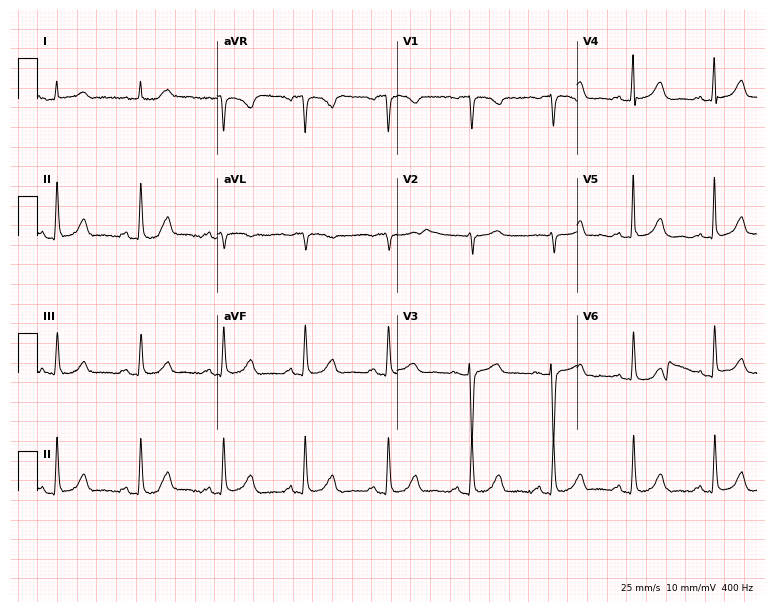
Electrocardiogram (7.3-second recording at 400 Hz), a female, 75 years old. Overall reading on record: normal ECG.